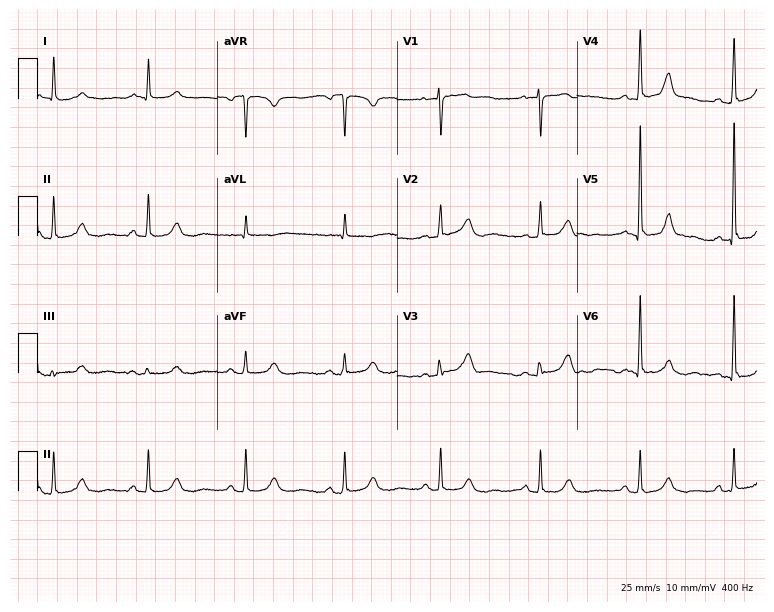
12-lead ECG from a 76-year-old woman (7.3-second recording at 400 Hz). Recorded interpretation: within normal limits.